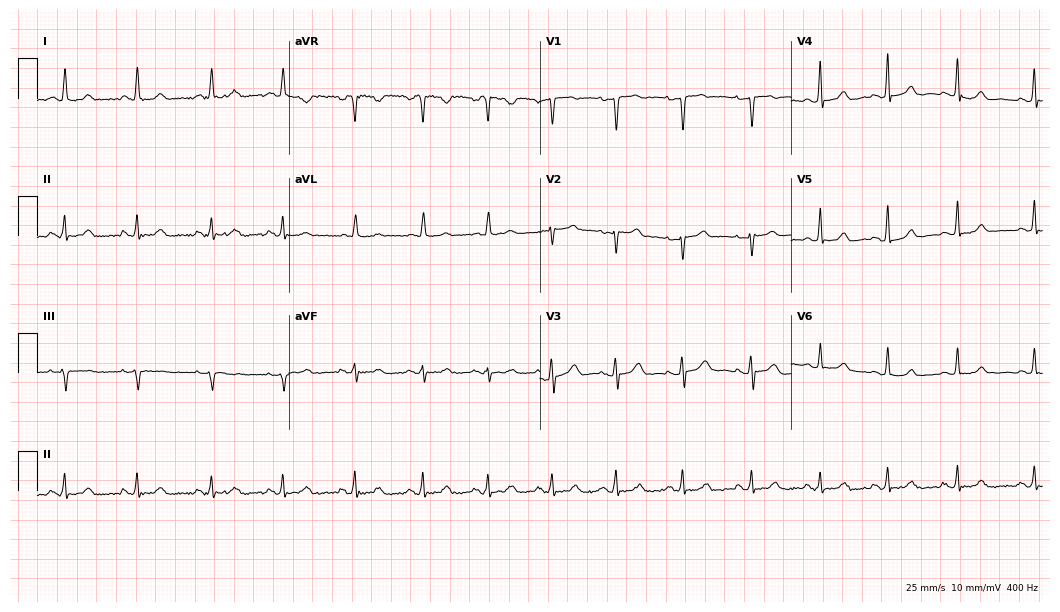
Standard 12-lead ECG recorded from a 36-year-old female patient. None of these six findings is recorded: first-degree AV block, right bundle branch block, left bundle branch block, sinus bradycardia, atrial fibrillation, sinus tachycardia.